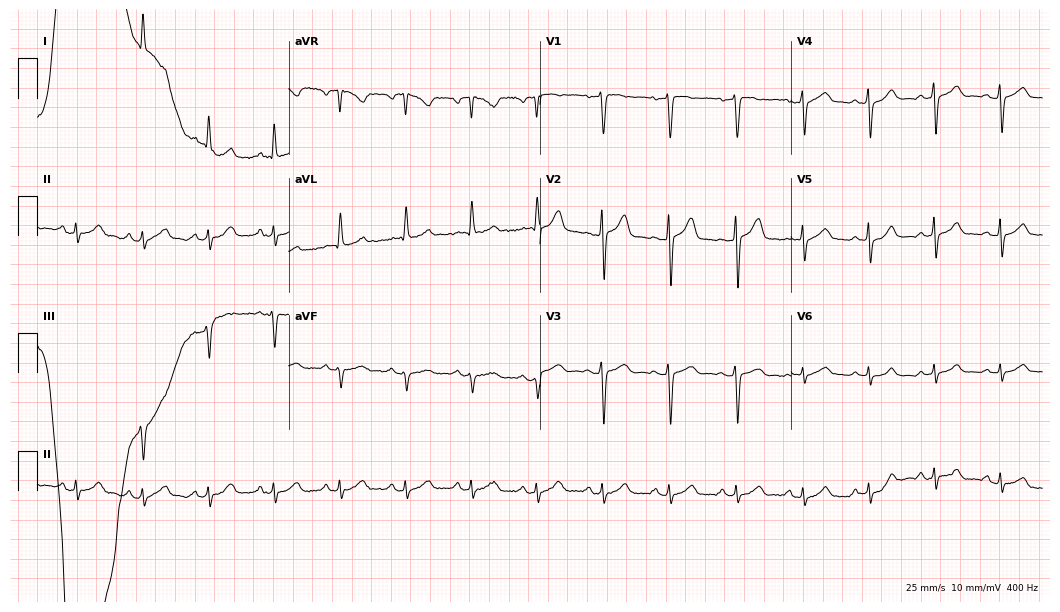
12-lead ECG from a woman, 46 years old (10.2-second recording at 400 Hz). No first-degree AV block, right bundle branch block, left bundle branch block, sinus bradycardia, atrial fibrillation or sinus tachycardia recorded for this tracing.